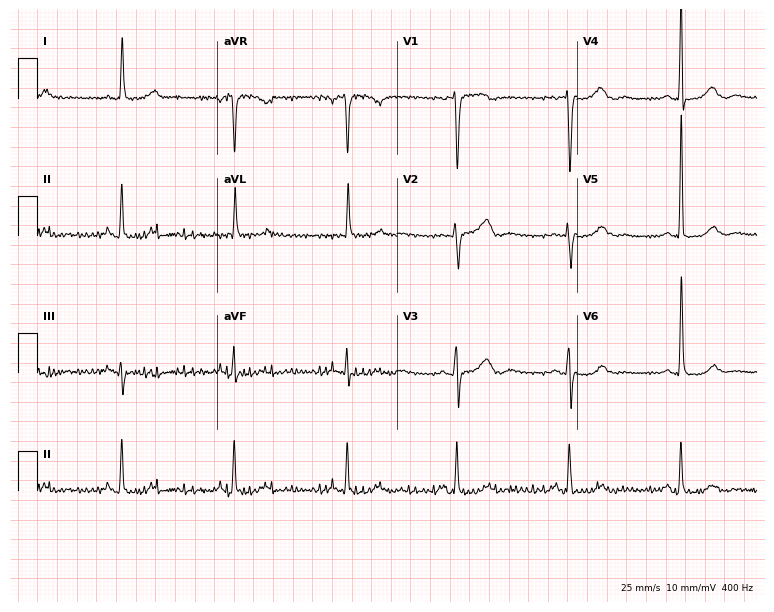
12-lead ECG from a female, 74 years old. No first-degree AV block, right bundle branch block, left bundle branch block, sinus bradycardia, atrial fibrillation or sinus tachycardia recorded for this tracing. Findings outside these six are not listed.